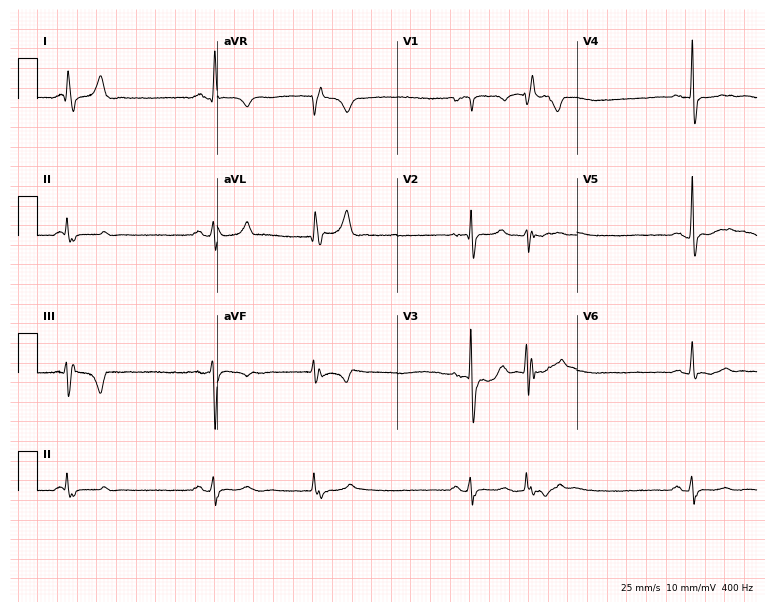
12-lead ECG from a male, 56 years old (7.3-second recording at 400 Hz). Shows sinus bradycardia (a sinus rate of 50 beats per minute or less).